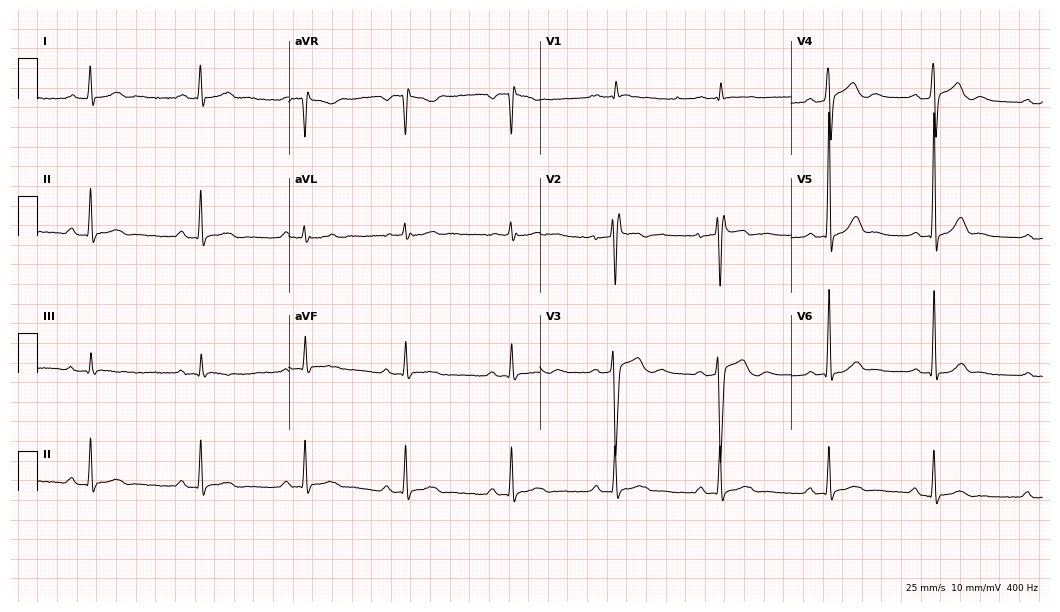
Electrocardiogram (10.2-second recording at 400 Hz), a male patient, 36 years old. Of the six screened findings (first-degree AV block, right bundle branch block, left bundle branch block, sinus bradycardia, atrial fibrillation, sinus tachycardia), none is recorded.